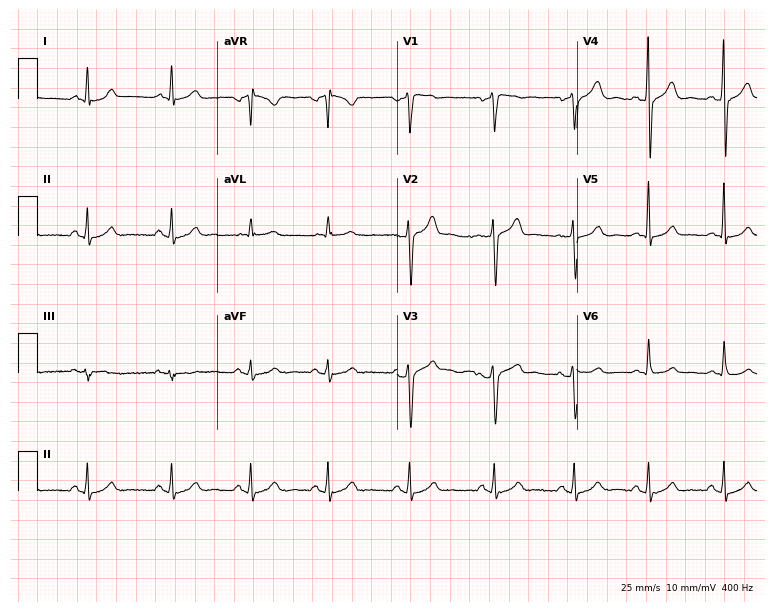
Standard 12-lead ECG recorded from a male patient, 38 years old (7.3-second recording at 400 Hz). Read as a normal ECG.